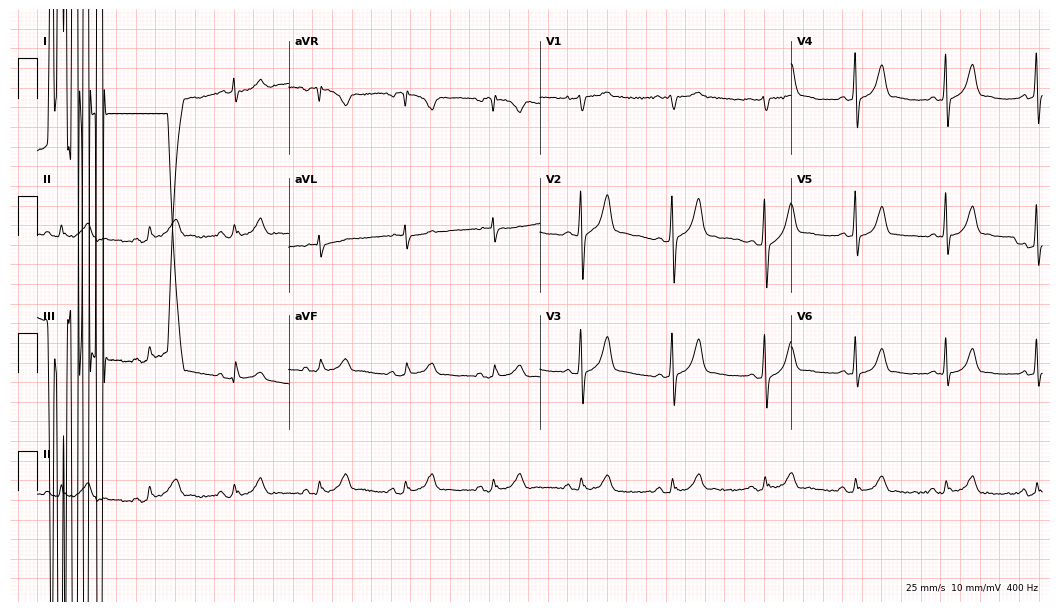
Electrocardiogram (10.2-second recording at 400 Hz), a 30-year-old male patient. Of the six screened findings (first-degree AV block, right bundle branch block, left bundle branch block, sinus bradycardia, atrial fibrillation, sinus tachycardia), none is recorded. Other findings, if any, are not listed.